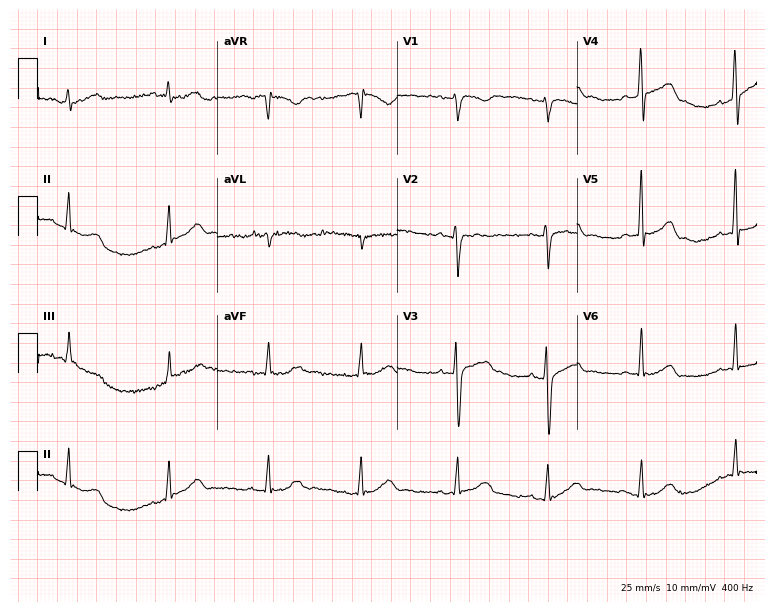
12-lead ECG from a male, 24 years old. Labelled as a normal ECG.